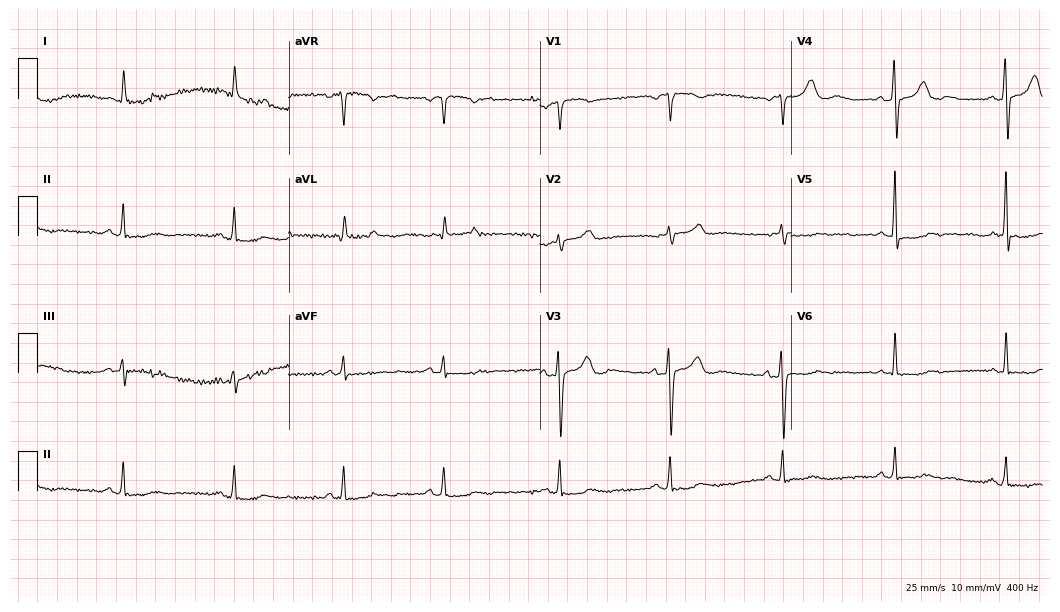
Resting 12-lead electrocardiogram. Patient: a female, 58 years old. None of these six findings is recorded: first-degree AV block, right bundle branch block, left bundle branch block, sinus bradycardia, atrial fibrillation, sinus tachycardia. Findings outside these six are not listed.